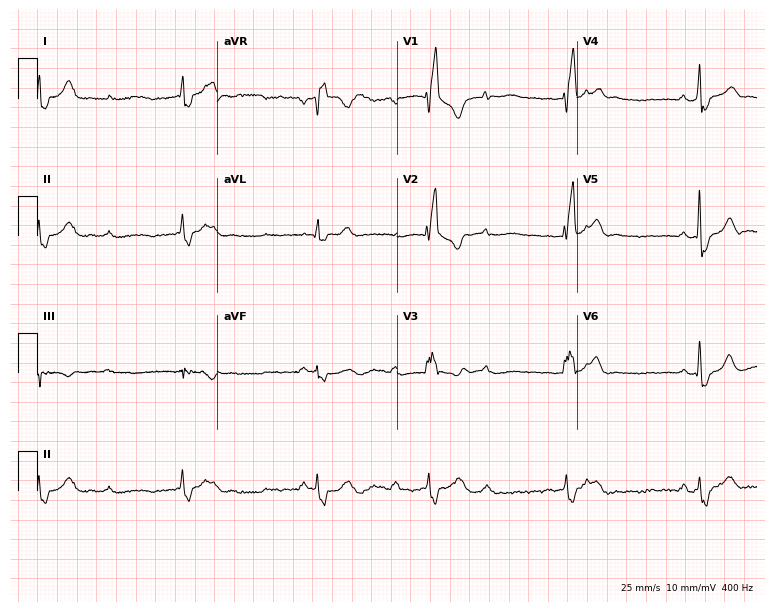
ECG — a 35-year-old male patient. Findings include right bundle branch block (RBBB).